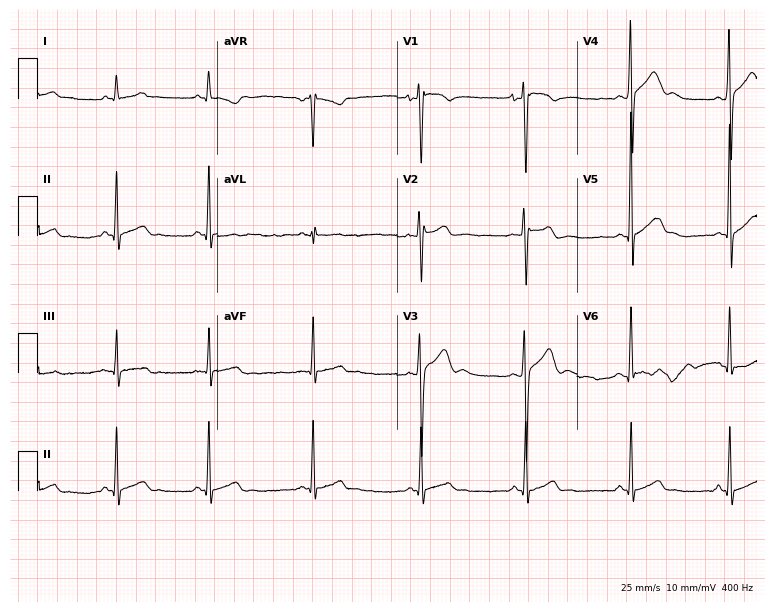
Standard 12-lead ECG recorded from an 18-year-old male patient. Read as a normal ECG.